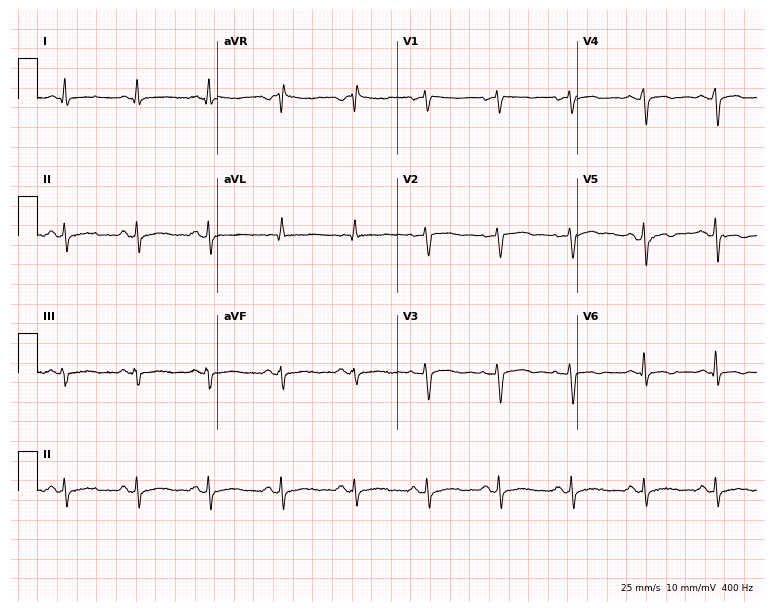
Standard 12-lead ECG recorded from a 51-year-old woman (7.3-second recording at 400 Hz). None of these six findings is recorded: first-degree AV block, right bundle branch block, left bundle branch block, sinus bradycardia, atrial fibrillation, sinus tachycardia.